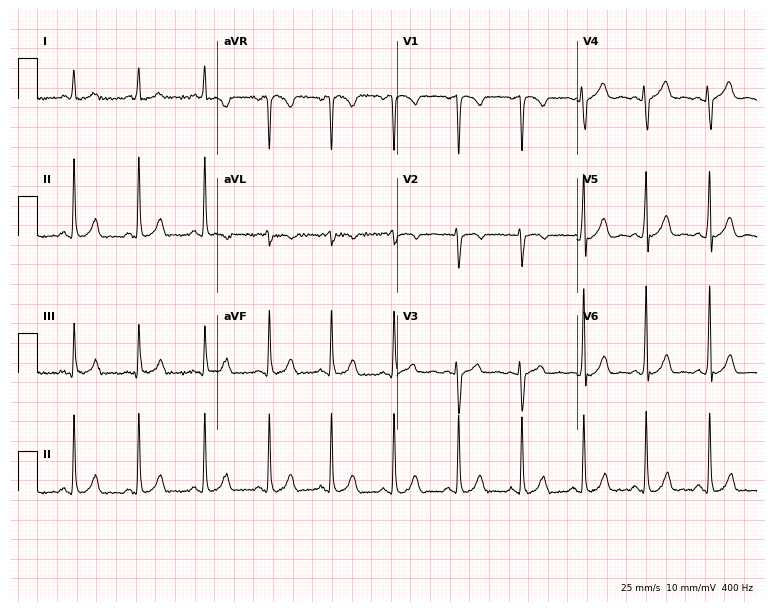
ECG (7.3-second recording at 400 Hz) — a woman, 27 years old. Labelled as a normal ECG.